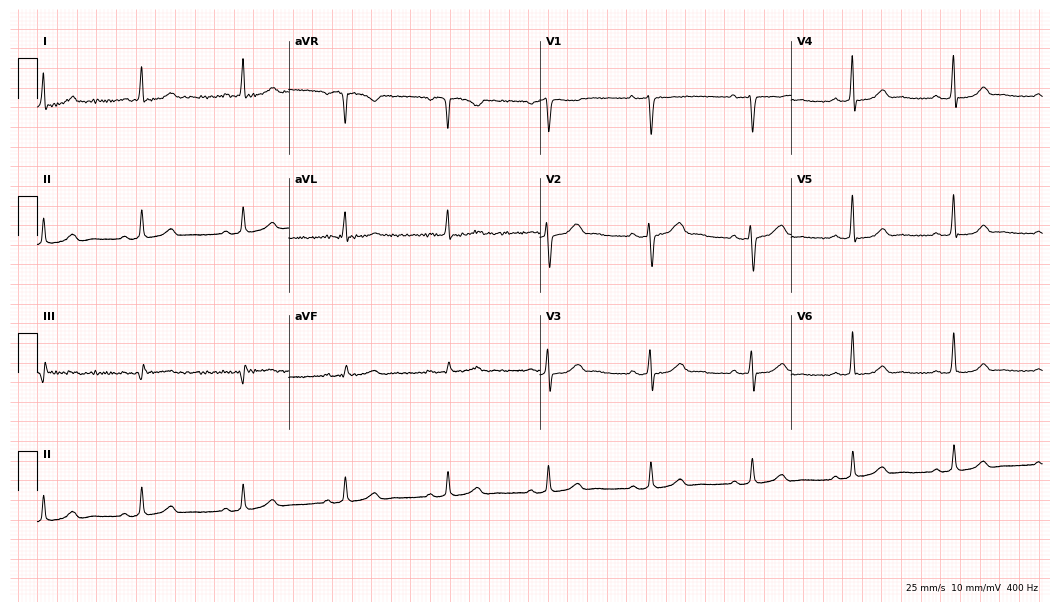
Standard 12-lead ECG recorded from a 47-year-old female patient (10.2-second recording at 400 Hz). Read as a normal ECG.